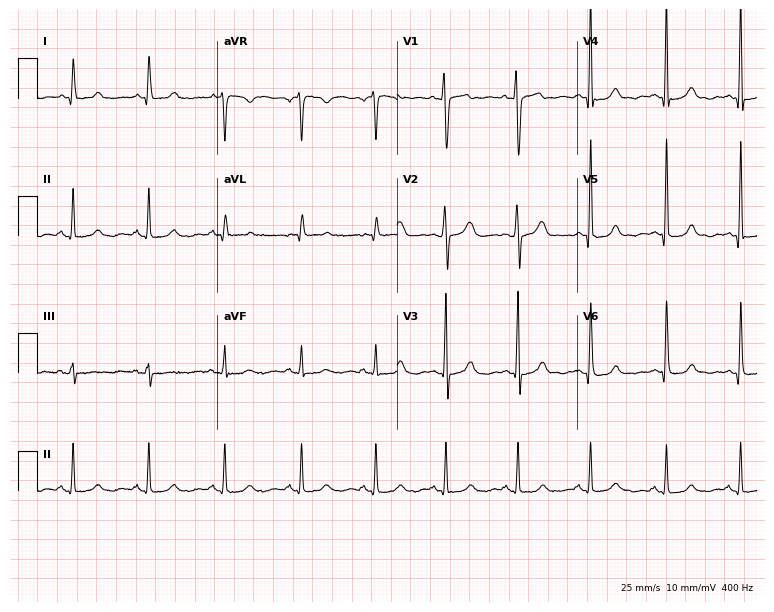
Standard 12-lead ECG recorded from a 39-year-old woman (7.3-second recording at 400 Hz). Read as a normal ECG.